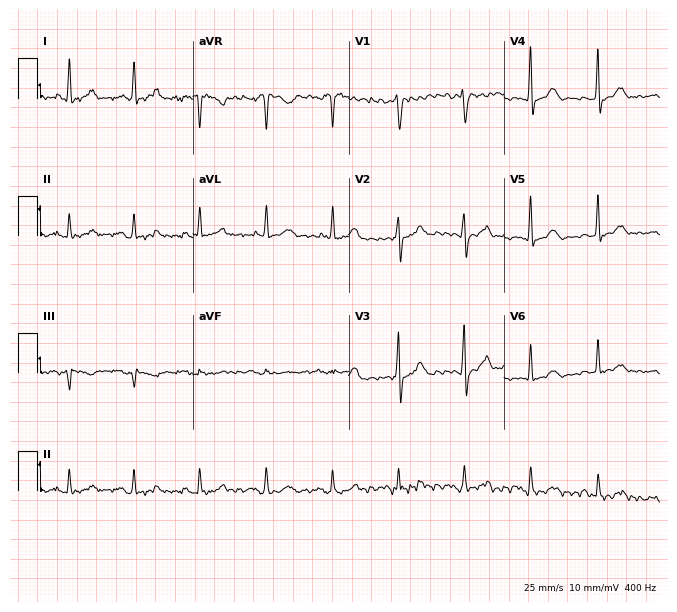
12-lead ECG from a 50-year-old female. Labelled as a normal ECG.